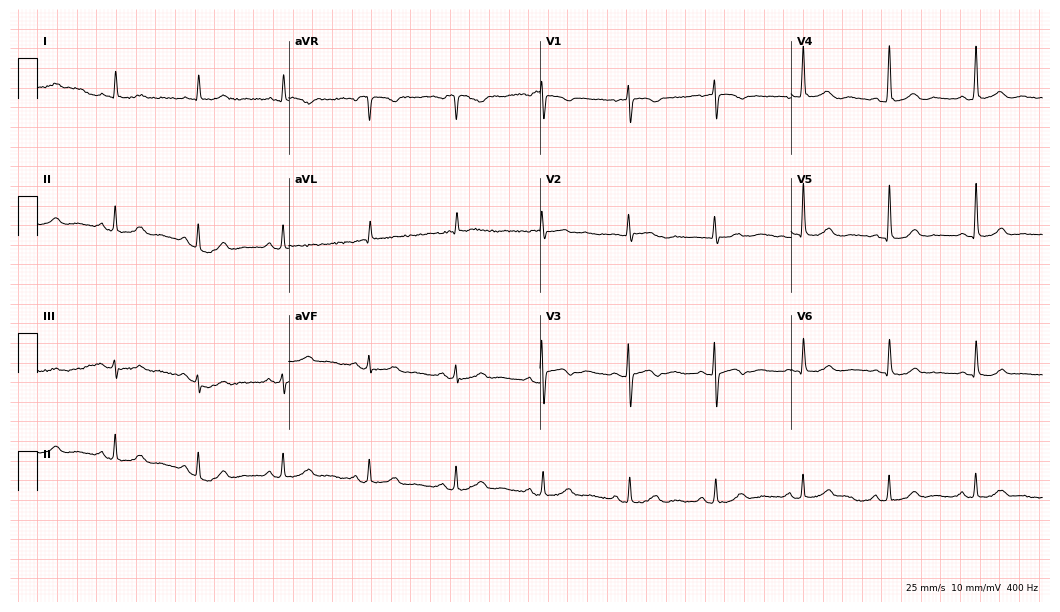
Resting 12-lead electrocardiogram. Patient: a woman, 85 years old. Read as a normal ECG.